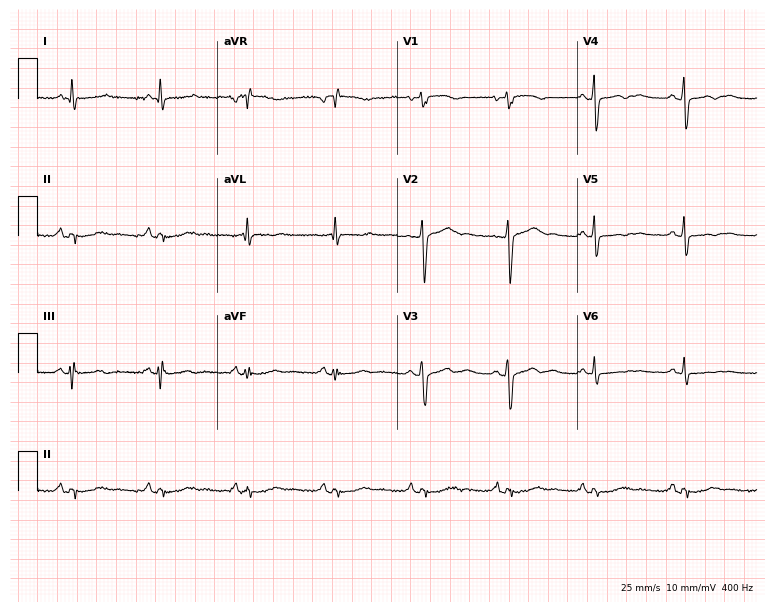
Electrocardiogram (7.3-second recording at 400 Hz), a female patient, 62 years old. Of the six screened findings (first-degree AV block, right bundle branch block (RBBB), left bundle branch block (LBBB), sinus bradycardia, atrial fibrillation (AF), sinus tachycardia), none is recorded. Other findings, if any, are not listed.